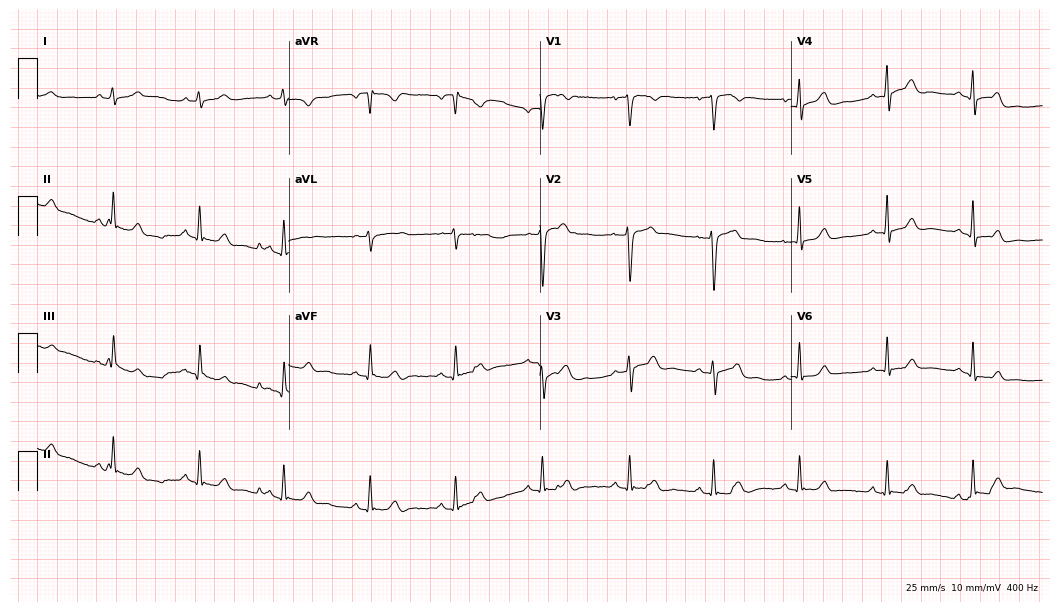
12-lead ECG from a female patient, 38 years old. Recorded interpretation: within normal limits.